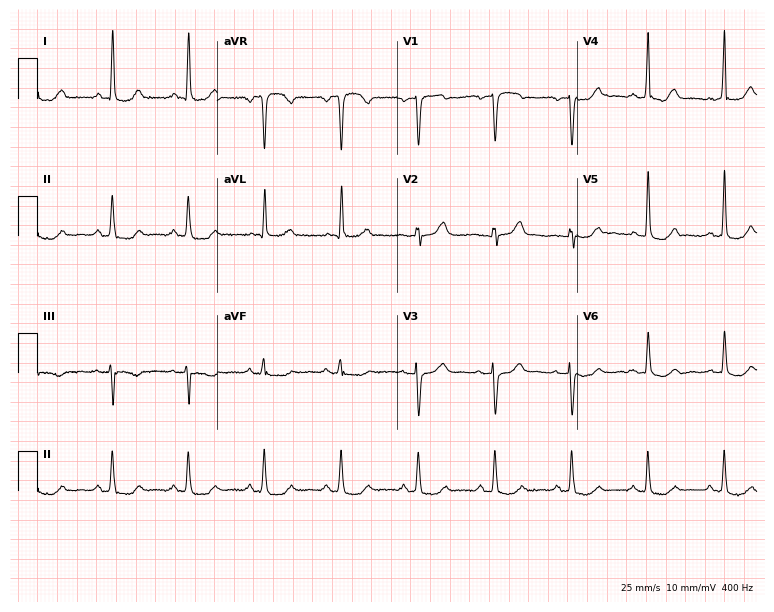
12-lead ECG from a 59-year-old female. Labelled as a normal ECG.